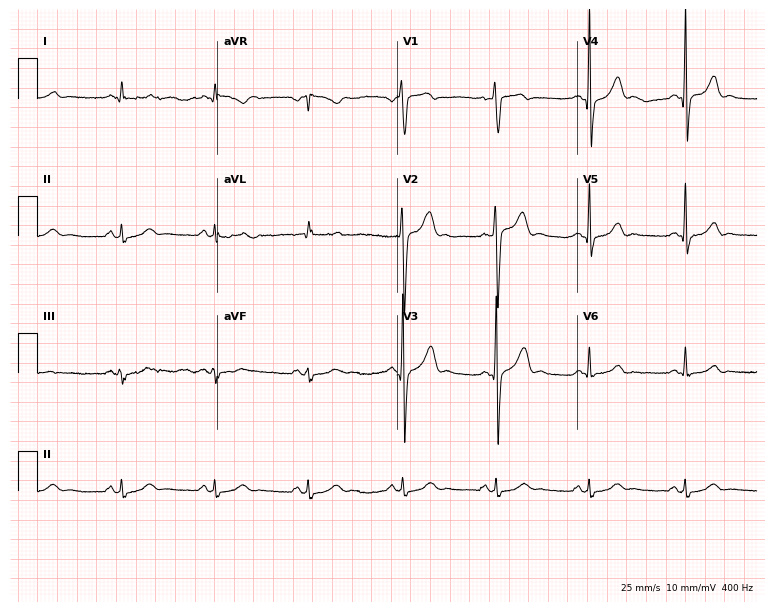
Resting 12-lead electrocardiogram. Patient: a male, 44 years old. Read as a normal ECG.